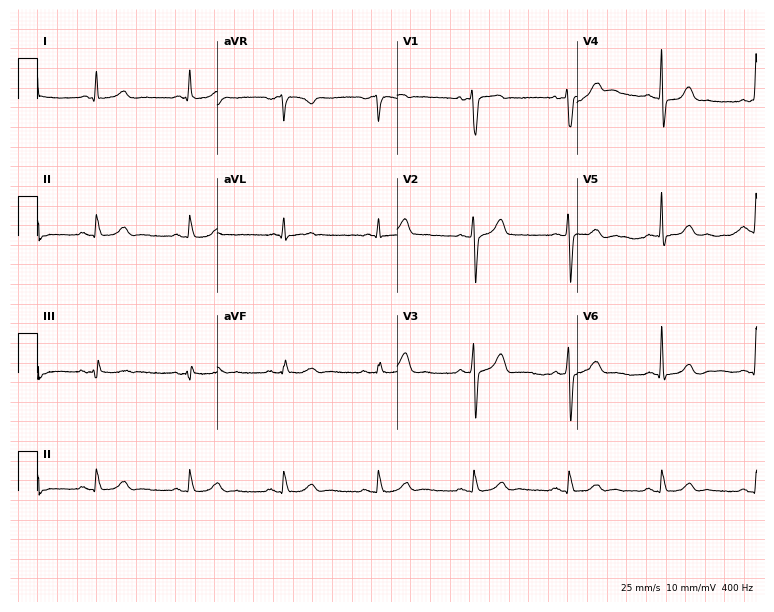
Electrocardiogram, a man, 56 years old. Overall reading on record: normal ECG.